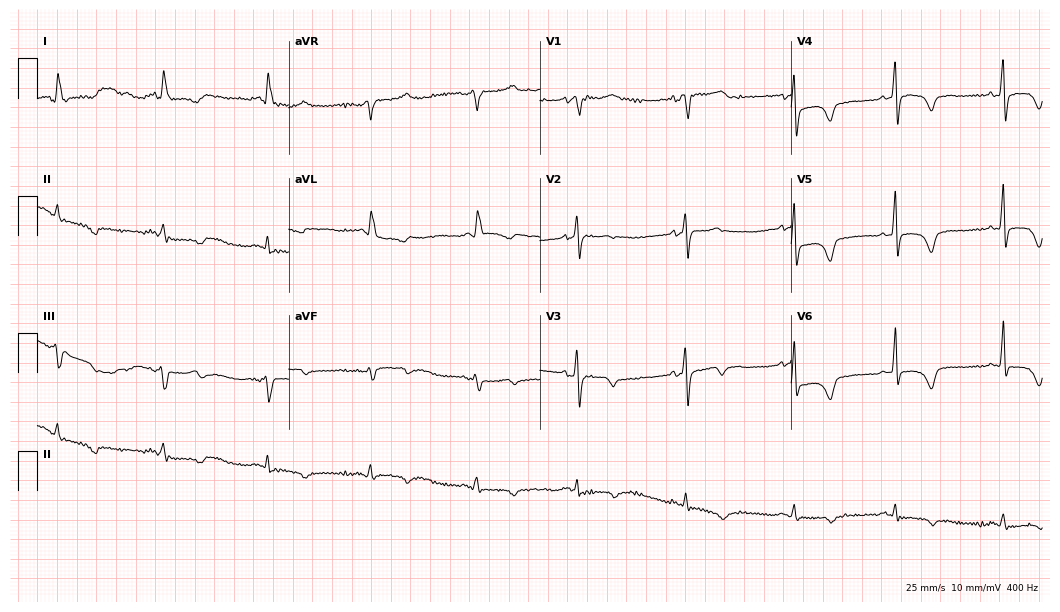
12-lead ECG (10.2-second recording at 400 Hz) from a 79-year-old woman. Screened for six findings — first-degree AV block, right bundle branch block (RBBB), left bundle branch block (LBBB), sinus bradycardia, atrial fibrillation (AF), sinus tachycardia — none is recorded.